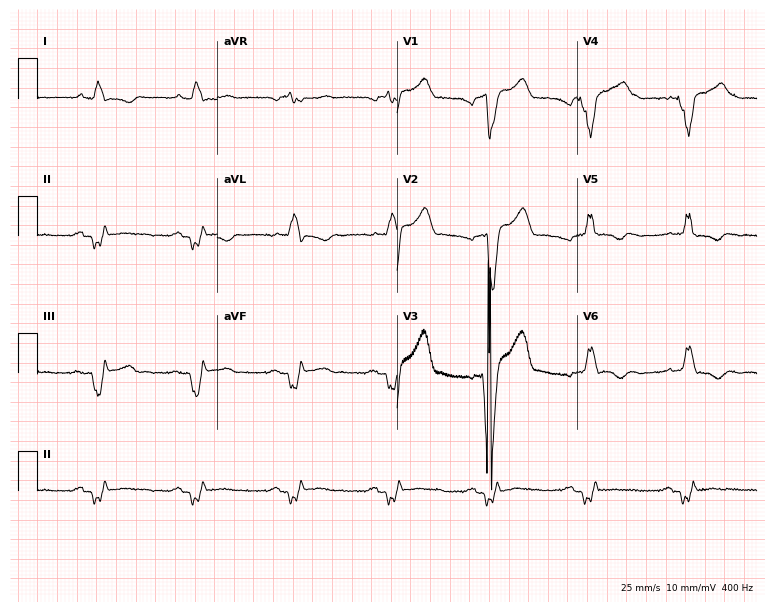
Standard 12-lead ECG recorded from a man, 66 years old (7.3-second recording at 400 Hz). None of these six findings is recorded: first-degree AV block, right bundle branch block, left bundle branch block, sinus bradycardia, atrial fibrillation, sinus tachycardia.